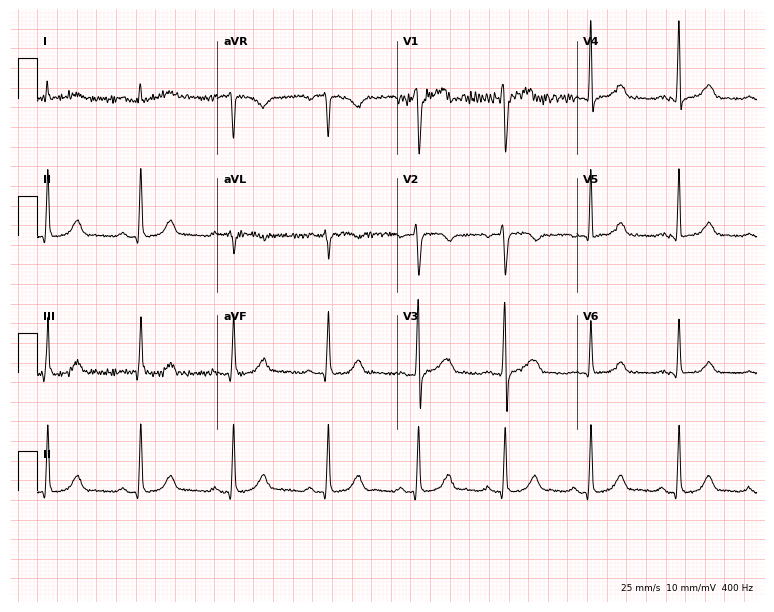
12-lead ECG (7.3-second recording at 400 Hz) from a 45-year-old male. Screened for six findings — first-degree AV block, right bundle branch block, left bundle branch block, sinus bradycardia, atrial fibrillation, sinus tachycardia — none is recorded. Only these six findings were labelled.